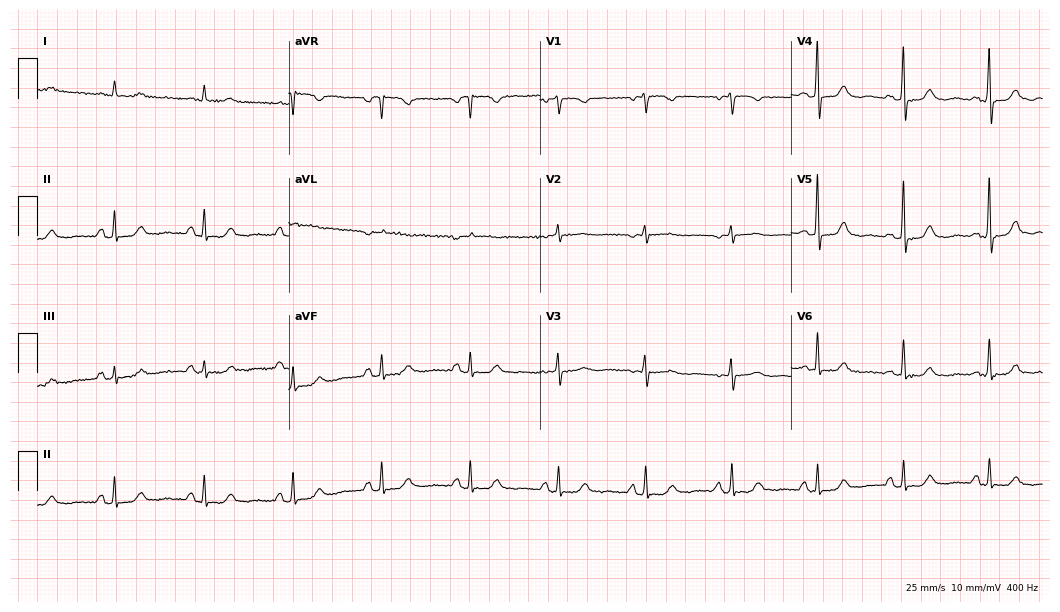
12-lead ECG (10.2-second recording at 400 Hz) from a 77-year-old woman. Screened for six findings — first-degree AV block, right bundle branch block, left bundle branch block, sinus bradycardia, atrial fibrillation, sinus tachycardia — none is recorded.